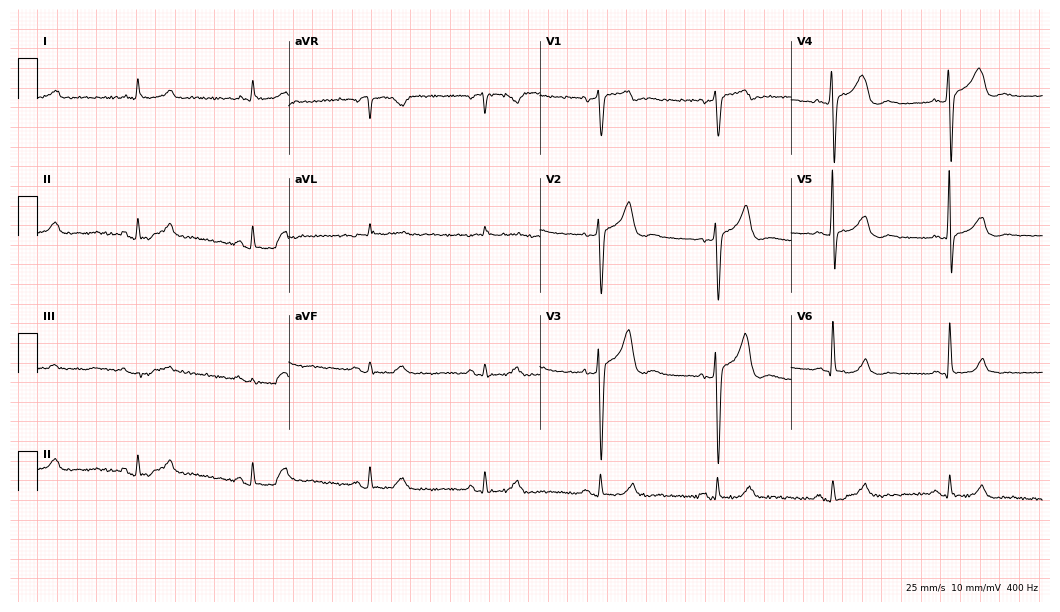
12-lead ECG (10.2-second recording at 400 Hz) from a 78-year-old male. Screened for six findings — first-degree AV block, right bundle branch block (RBBB), left bundle branch block (LBBB), sinus bradycardia, atrial fibrillation (AF), sinus tachycardia — none is recorded.